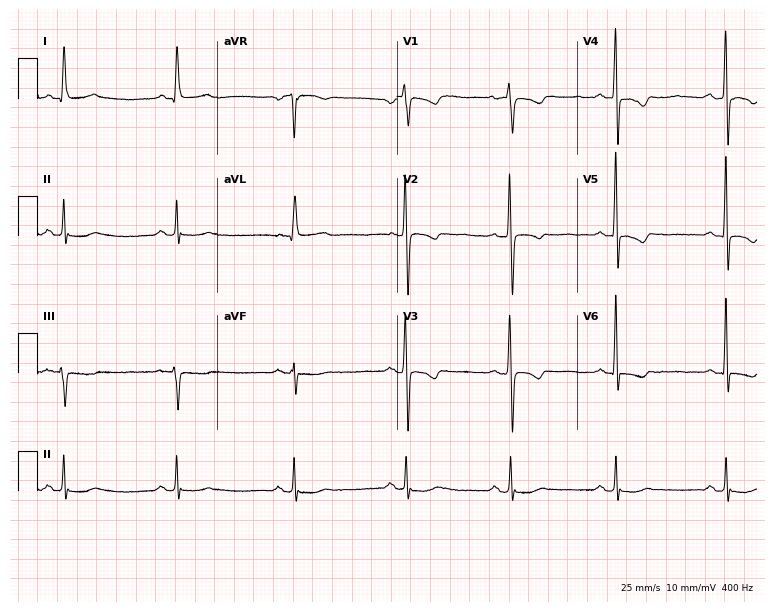
12-lead ECG from a 58-year-old woman. Recorded interpretation: within normal limits.